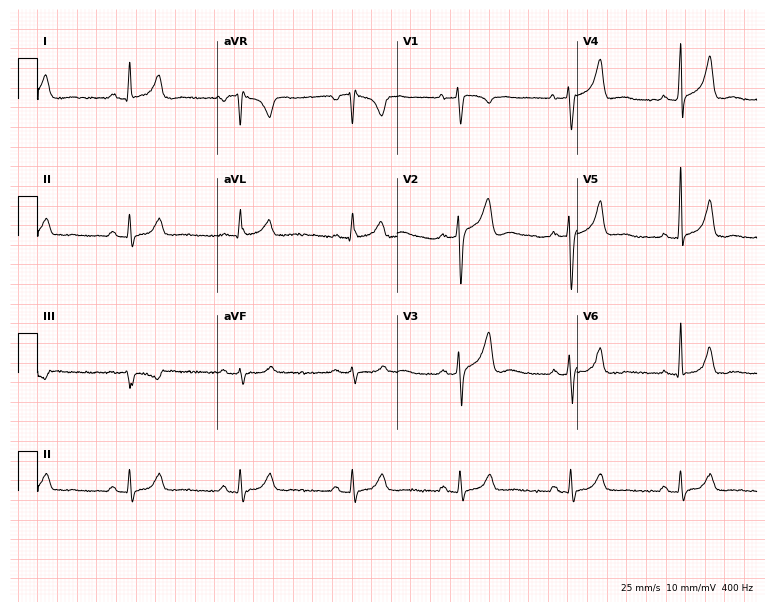
ECG (7.3-second recording at 400 Hz) — a 48-year-old male. Screened for six findings — first-degree AV block, right bundle branch block, left bundle branch block, sinus bradycardia, atrial fibrillation, sinus tachycardia — none is recorded. Findings outside these six are not listed.